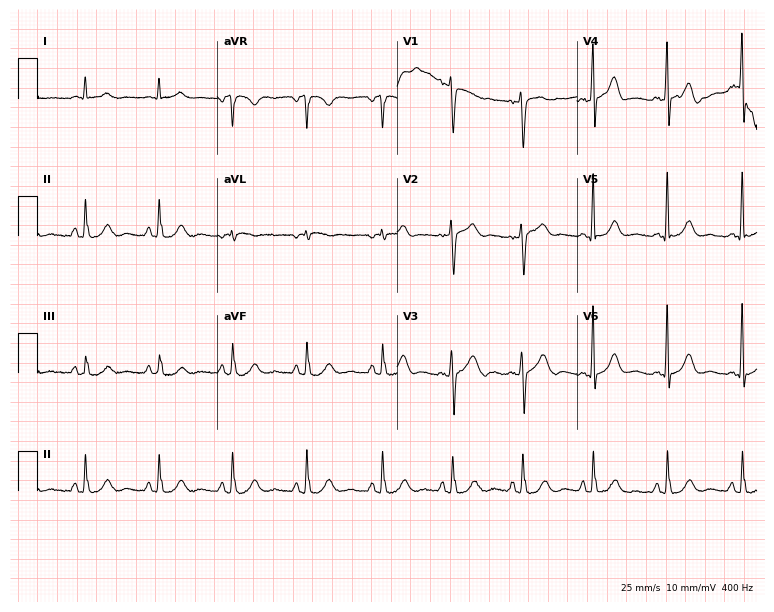
Standard 12-lead ECG recorded from a male, 55 years old. Read as a normal ECG.